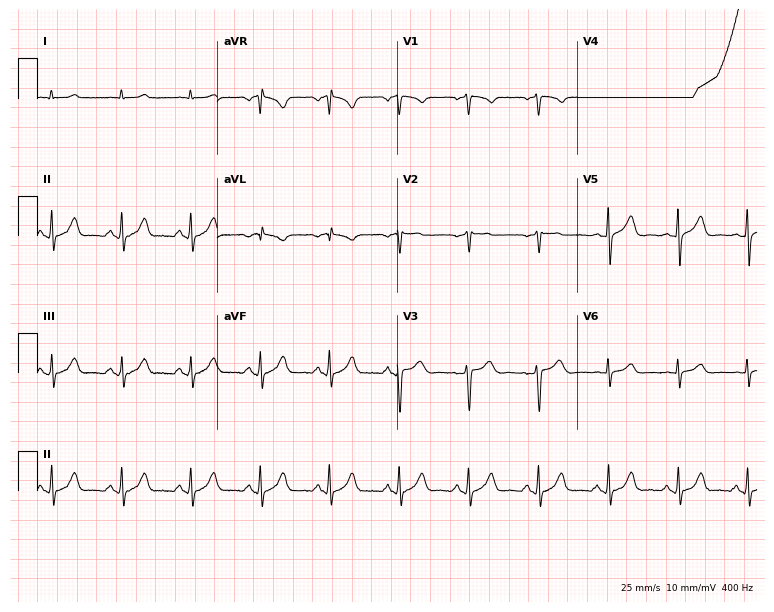
12-lead ECG (7.3-second recording at 400 Hz) from a male patient, 56 years old. Screened for six findings — first-degree AV block, right bundle branch block, left bundle branch block, sinus bradycardia, atrial fibrillation, sinus tachycardia — none is recorded. Other findings, if any, are not listed.